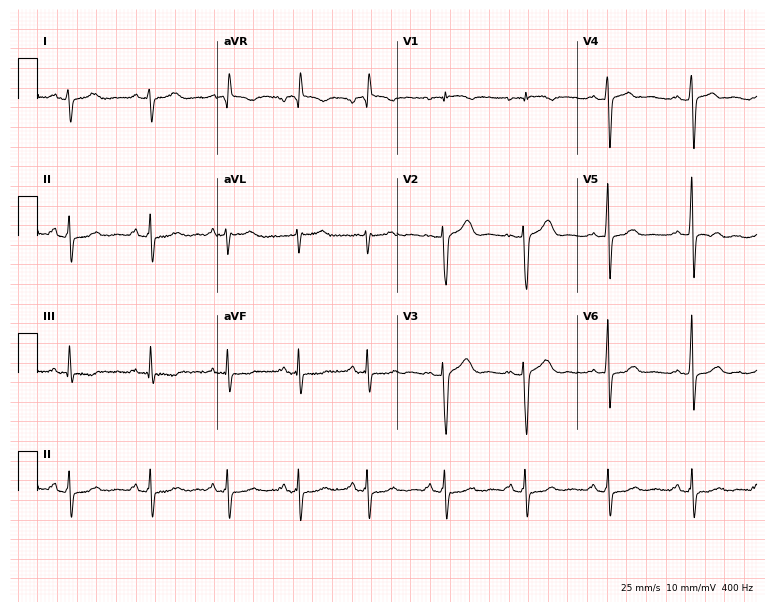
Standard 12-lead ECG recorded from a female patient, 38 years old (7.3-second recording at 400 Hz). None of these six findings is recorded: first-degree AV block, right bundle branch block, left bundle branch block, sinus bradycardia, atrial fibrillation, sinus tachycardia. Only these six findings were labelled.